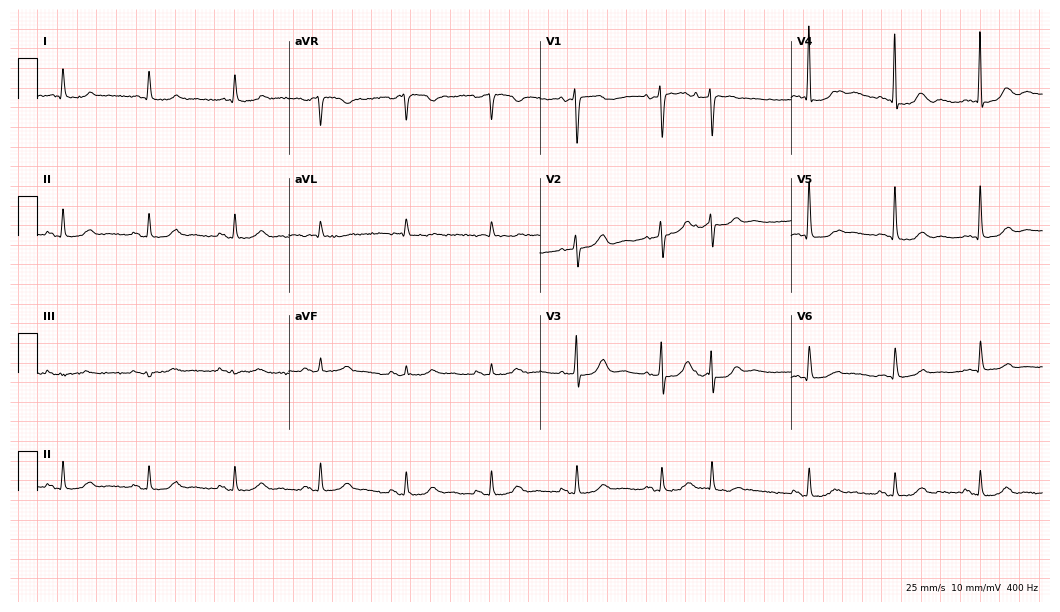
12-lead ECG from a woman, 82 years old. No first-degree AV block, right bundle branch block, left bundle branch block, sinus bradycardia, atrial fibrillation or sinus tachycardia recorded for this tracing.